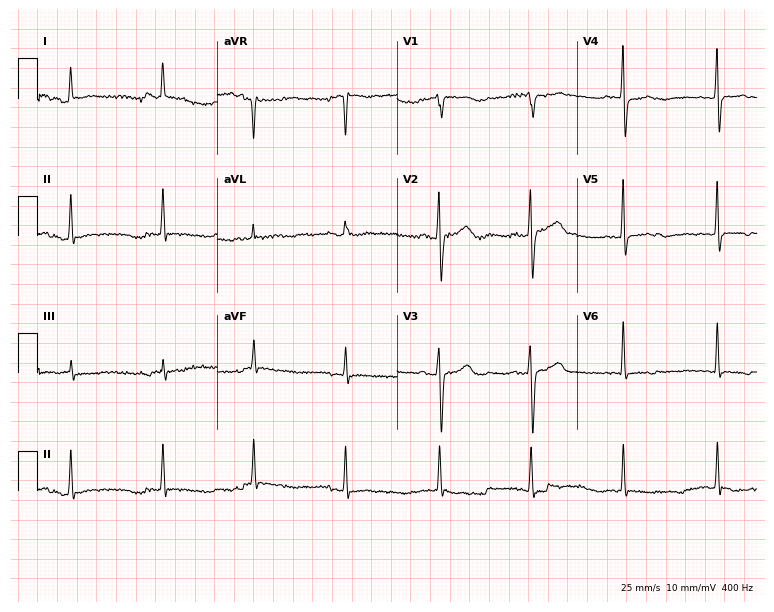
Standard 12-lead ECG recorded from a 70-year-old female (7.3-second recording at 400 Hz). None of these six findings is recorded: first-degree AV block, right bundle branch block, left bundle branch block, sinus bradycardia, atrial fibrillation, sinus tachycardia.